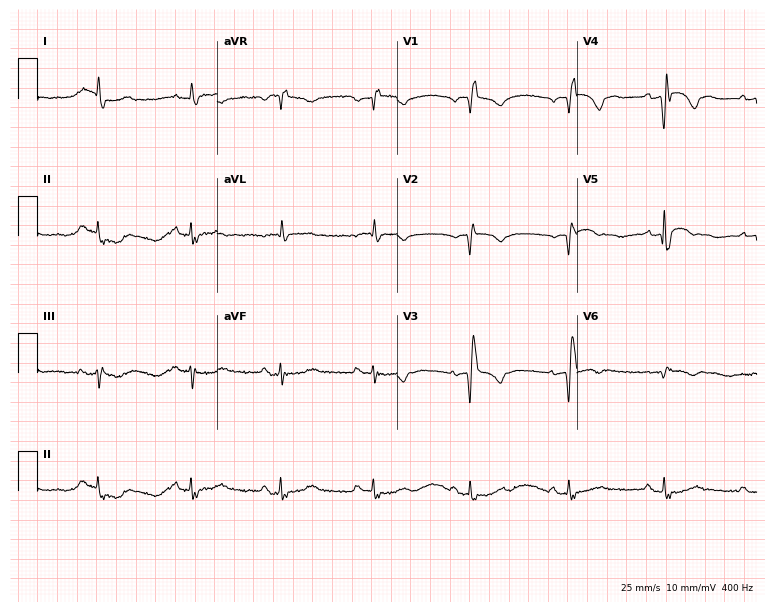
12-lead ECG (7.3-second recording at 400 Hz) from an 82-year-old male patient. Findings include right bundle branch block.